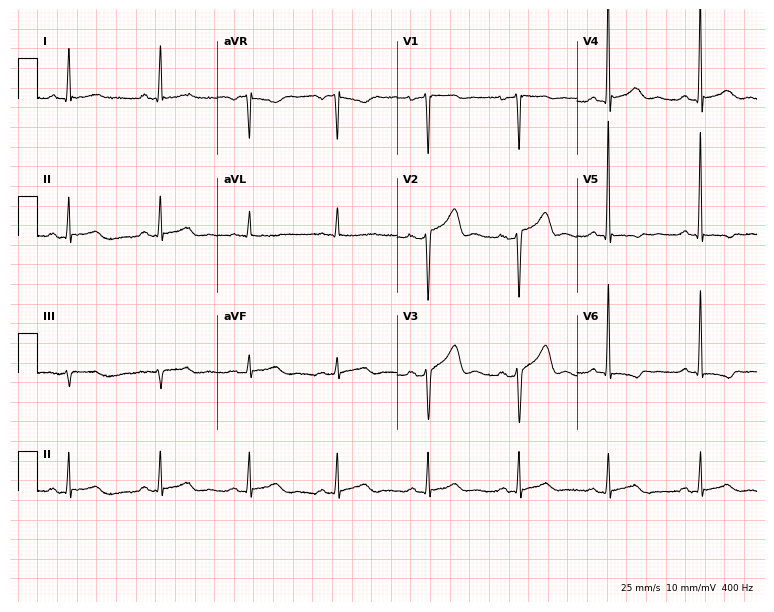
ECG — a female patient, 43 years old. Screened for six findings — first-degree AV block, right bundle branch block (RBBB), left bundle branch block (LBBB), sinus bradycardia, atrial fibrillation (AF), sinus tachycardia — none is recorded. Findings outside these six are not listed.